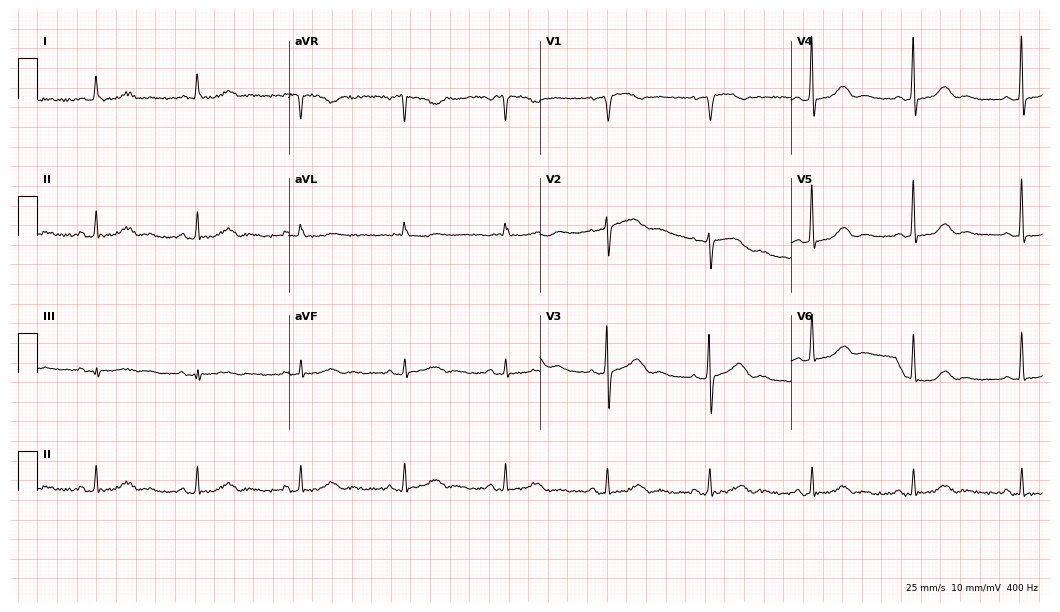
12-lead ECG from a woman, 74 years old (10.2-second recording at 400 Hz). Recorded interpretation: within normal limits.